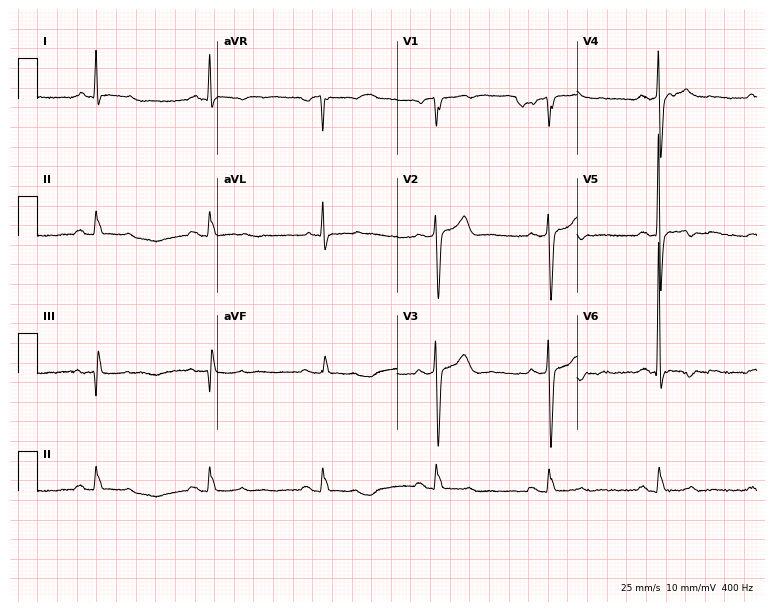
Electrocardiogram, a 72-year-old male patient. Of the six screened findings (first-degree AV block, right bundle branch block, left bundle branch block, sinus bradycardia, atrial fibrillation, sinus tachycardia), none is recorded.